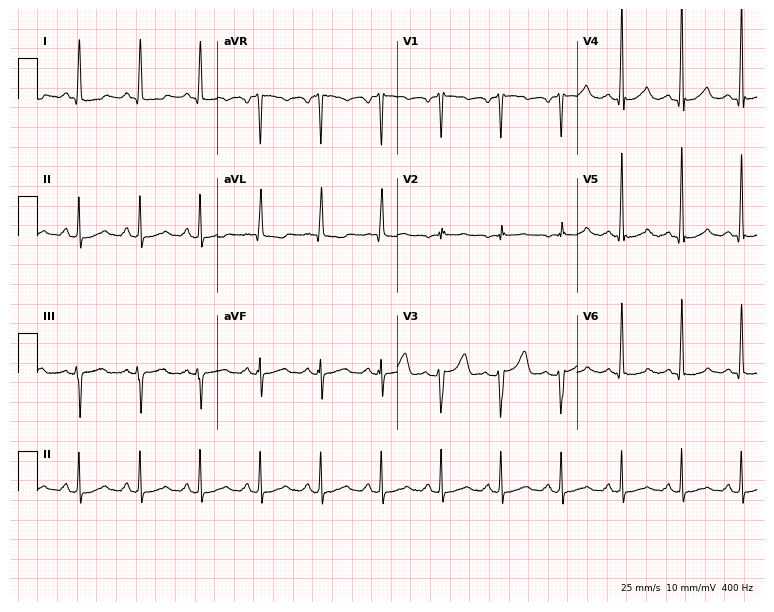
Standard 12-lead ECG recorded from a 61-year-old woman. Read as a normal ECG.